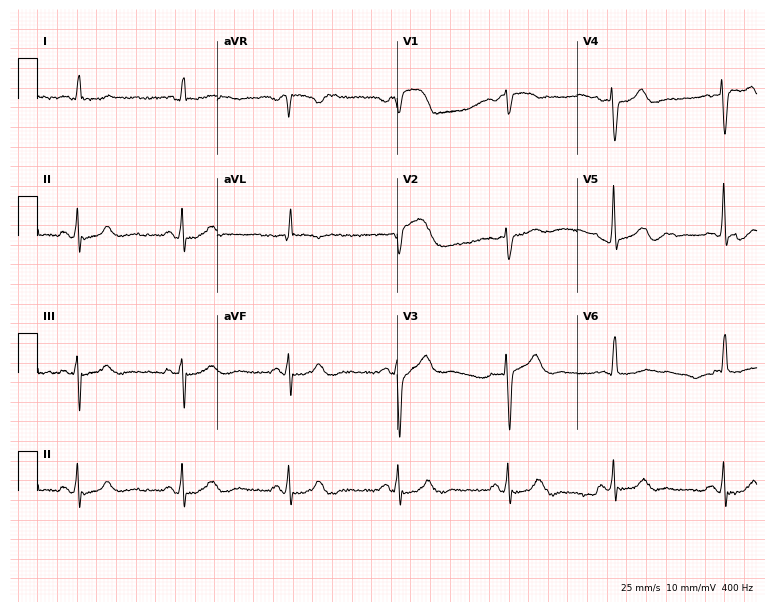
ECG (7.3-second recording at 400 Hz) — a woman, 67 years old. Labelled as a normal ECG.